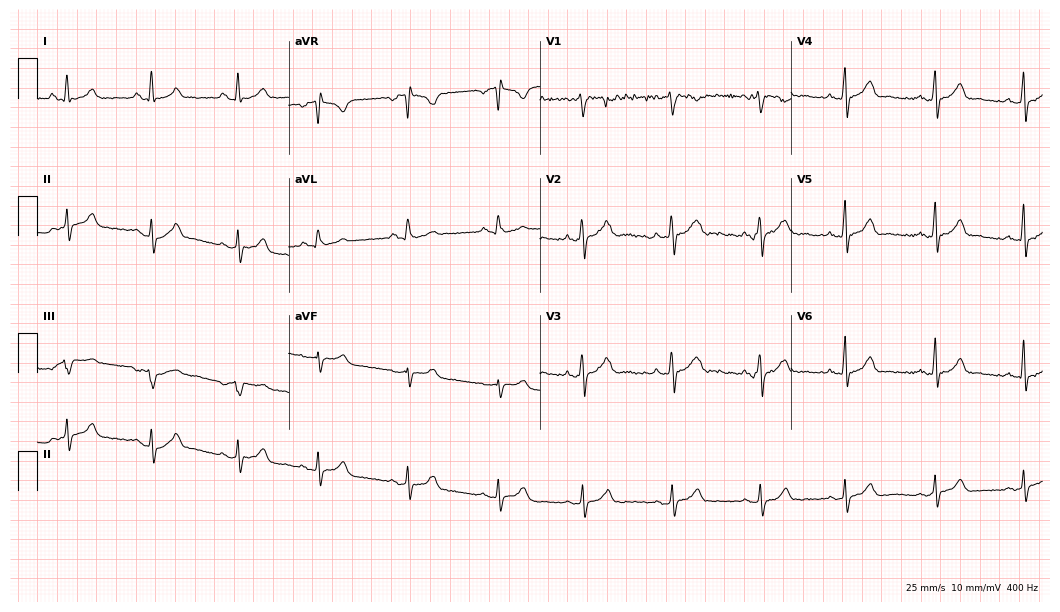
ECG — a woman, 18 years old. Labelled as a normal ECG.